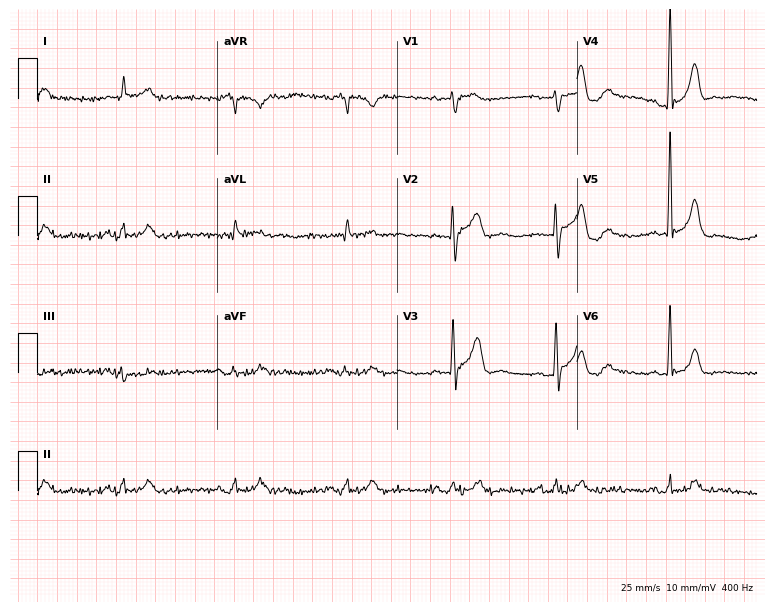
Standard 12-lead ECG recorded from an 85-year-old man. None of these six findings is recorded: first-degree AV block, right bundle branch block, left bundle branch block, sinus bradycardia, atrial fibrillation, sinus tachycardia. Findings outside these six are not listed.